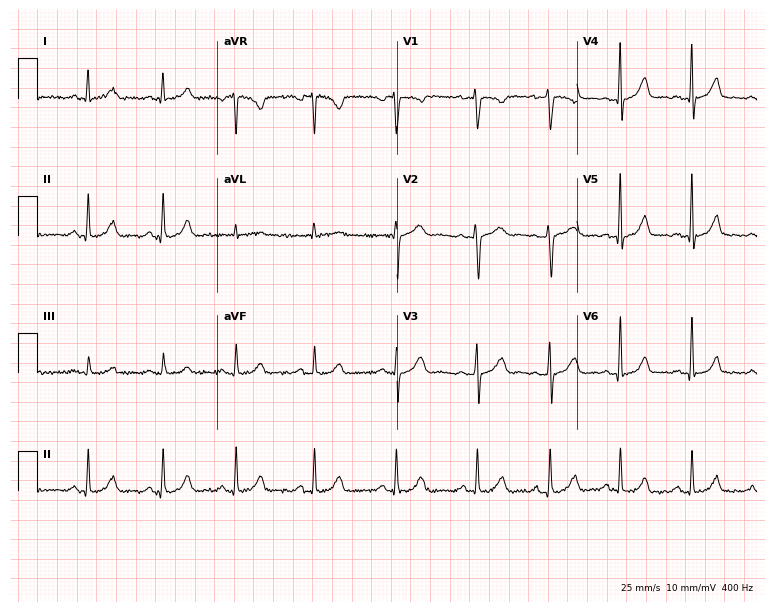
12-lead ECG from a female, 29 years old. Recorded interpretation: within normal limits.